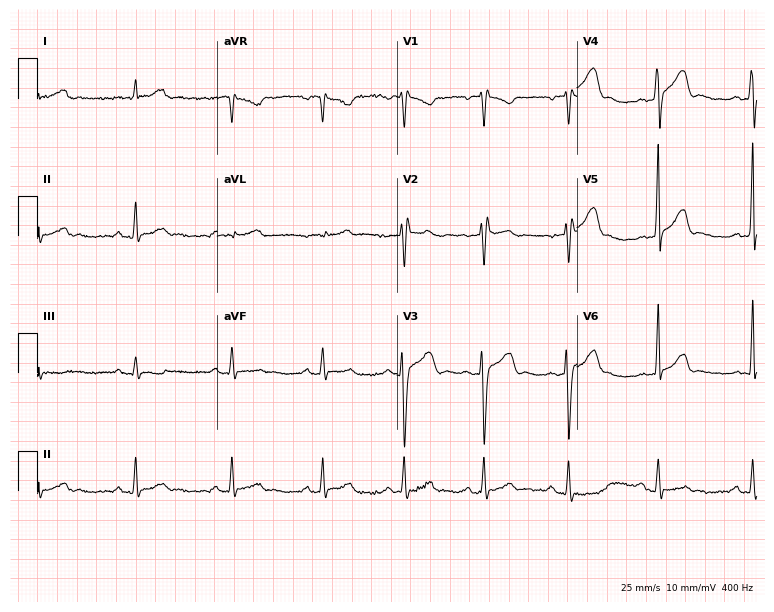
12-lead ECG (7.3-second recording at 400 Hz) from a 34-year-old male. Labelled as a normal ECG.